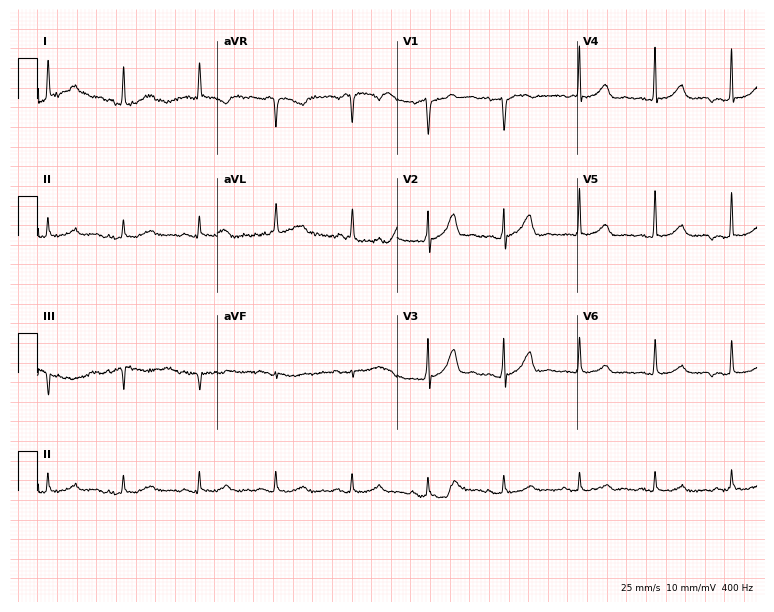
Resting 12-lead electrocardiogram. Patient: a 77-year-old female. Read as a normal ECG.